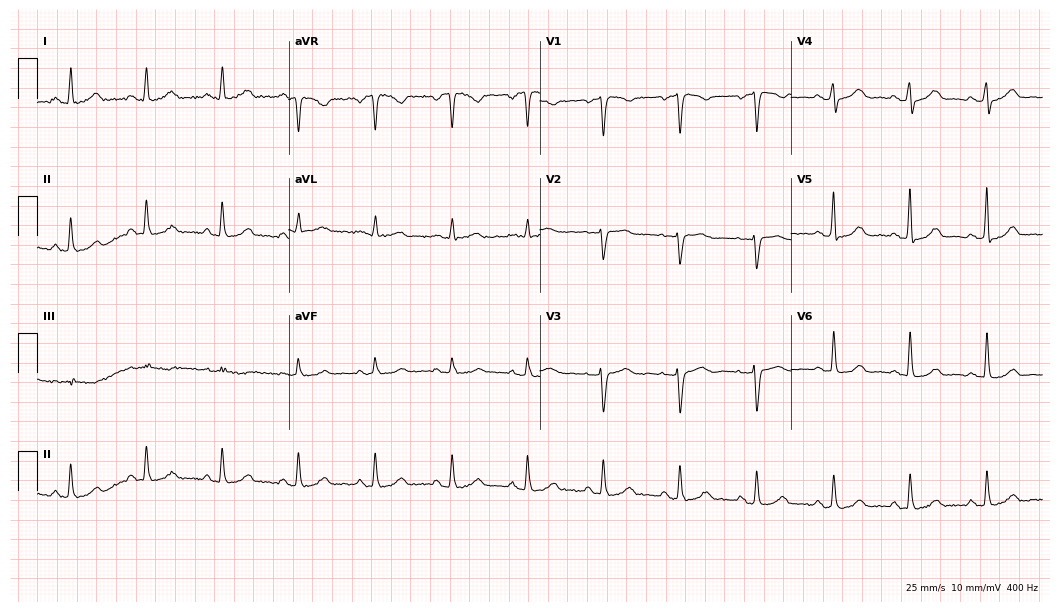
12-lead ECG (10.2-second recording at 400 Hz) from a woman, 57 years old. Labelled as a normal ECG.